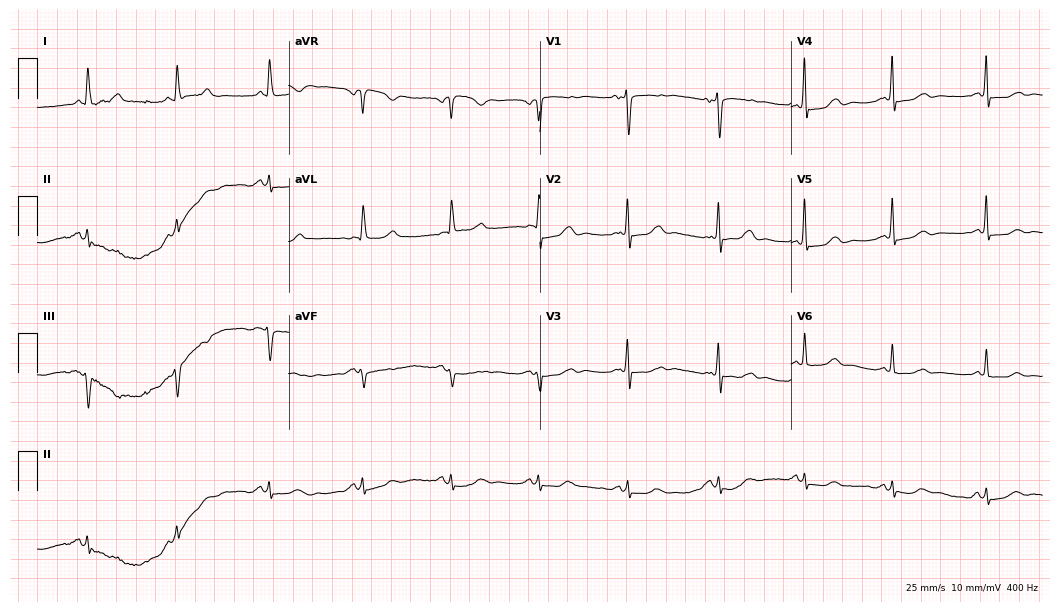
ECG (10.2-second recording at 400 Hz) — a 77-year-old female. Labelled as a normal ECG.